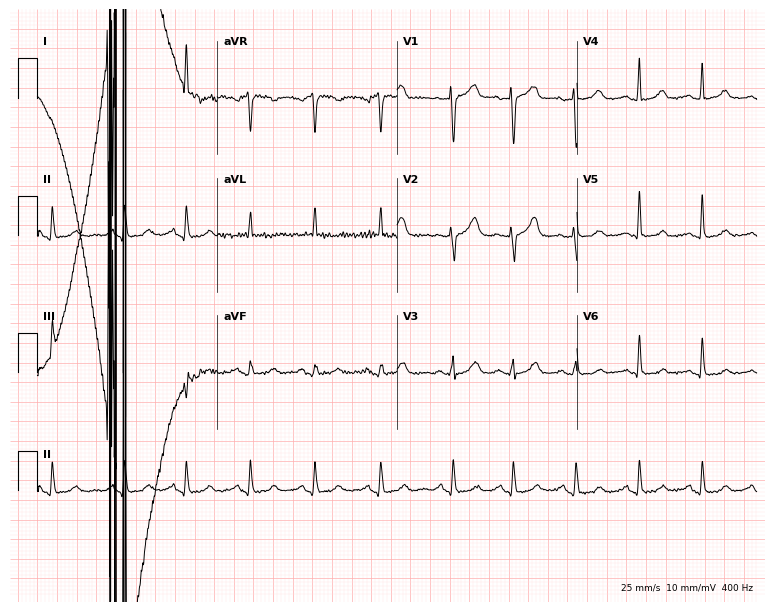
12-lead ECG from a woman, 50 years old. Labelled as a normal ECG.